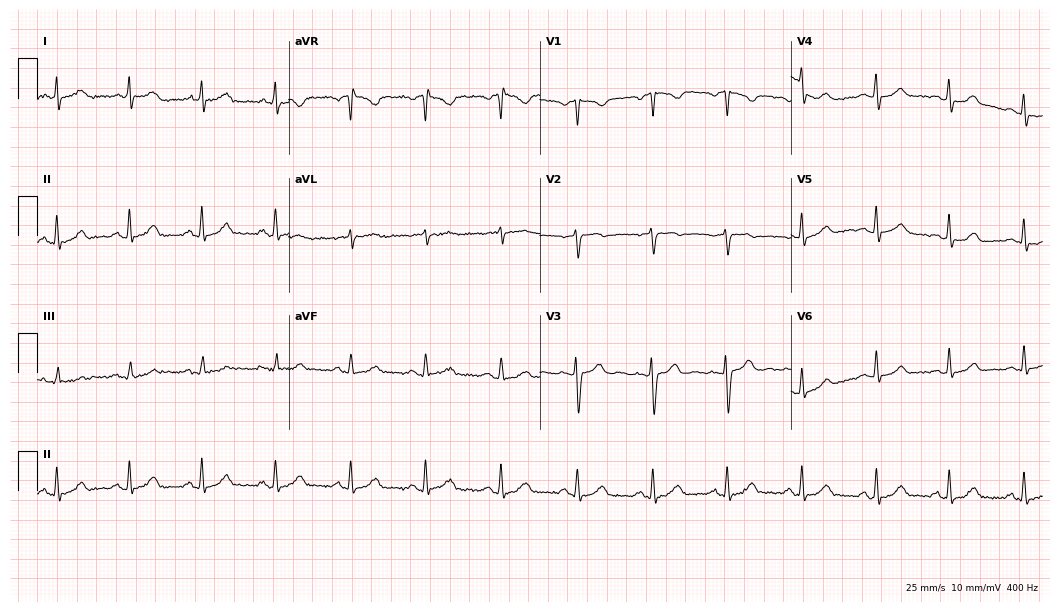
12-lead ECG from a 44-year-old woman (10.2-second recording at 400 Hz). Recorded interpretation: within normal limits.